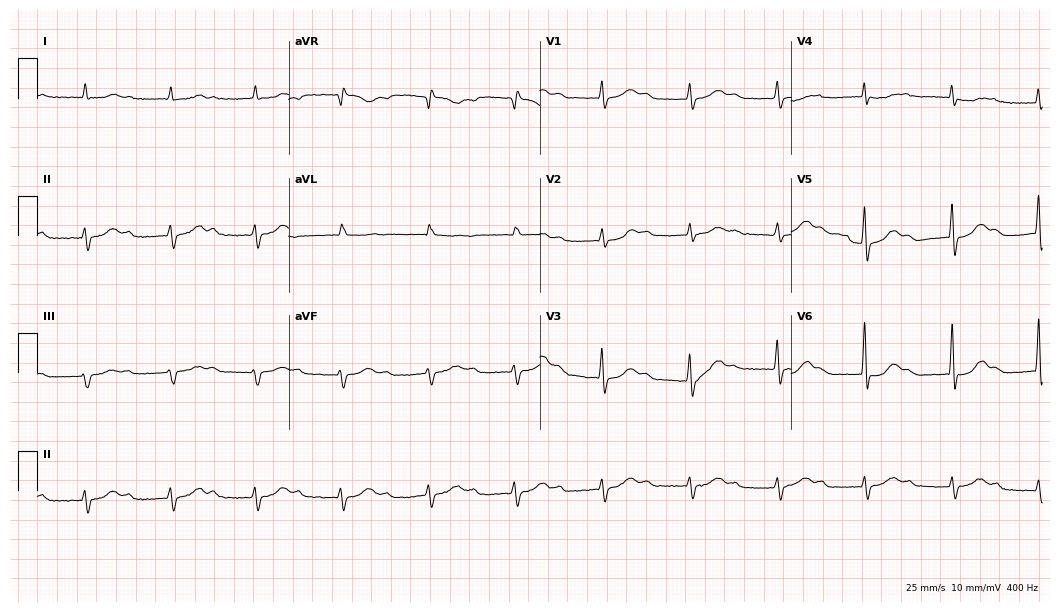
12-lead ECG from an 85-year-old man. Shows first-degree AV block.